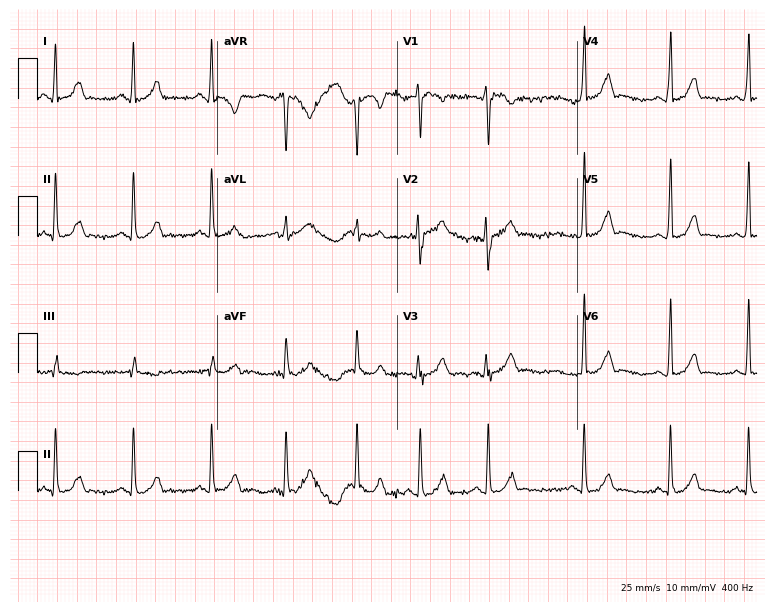
12-lead ECG from a female, 17 years old. Recorded interpretation: within normal limits.